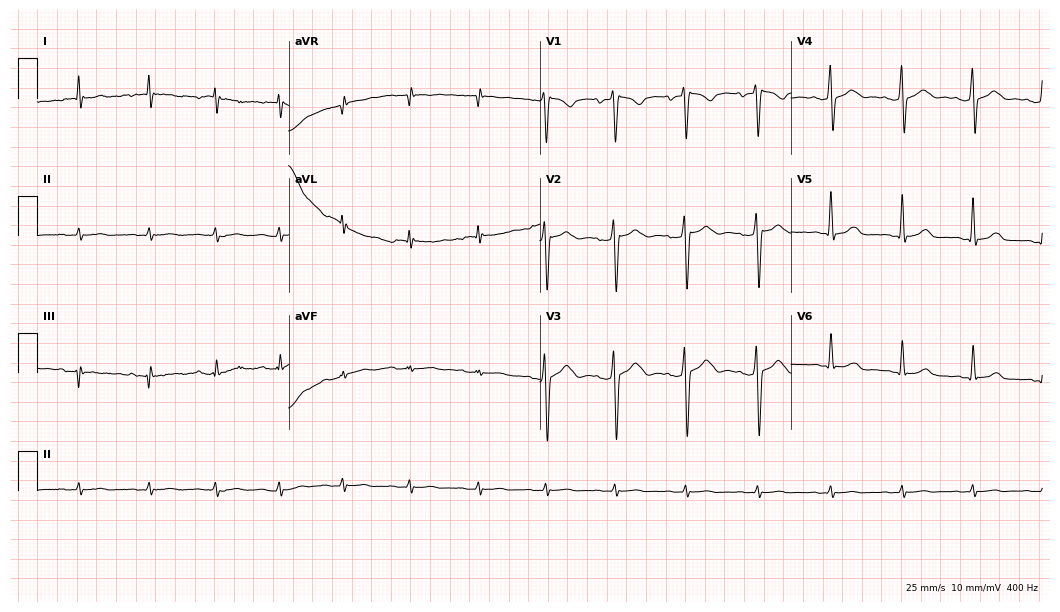
Electrocardiogram (10.2-second recording at 400 Hz), a male patient, 38 years old. Of the six screened findings (first-degree AV block, right bundle branch block, left bundle branch block, sinus bradycardia, atrial fibrillation, sinus tachycardia), none is recorded.